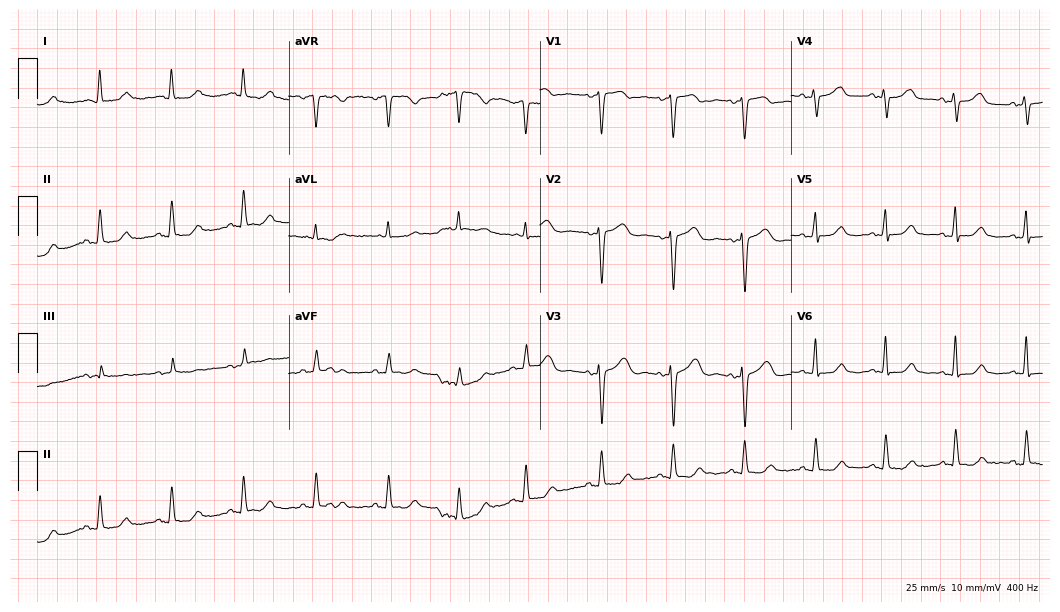
12-lead ECG from a 76-year-old female (10.2-second recording at 400 Hz). Recorded interpretation: within normal limits.